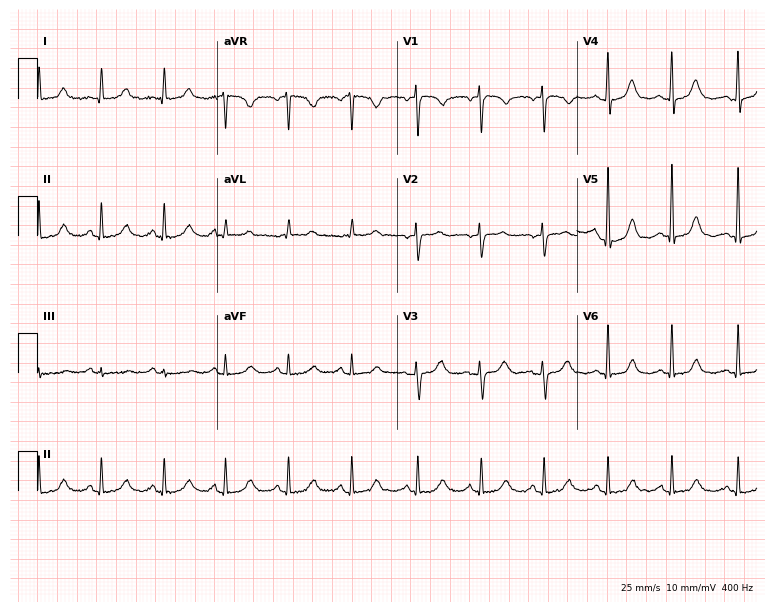
12-lead ECG from a 48-year-old female patient. No first-degree AV block, right bundle branch block (RBBB), left bundle branch block (LBBB), sinus bradycardia, atrial fibrillation (AF) or sinus tachycardia recorded for this tracing.